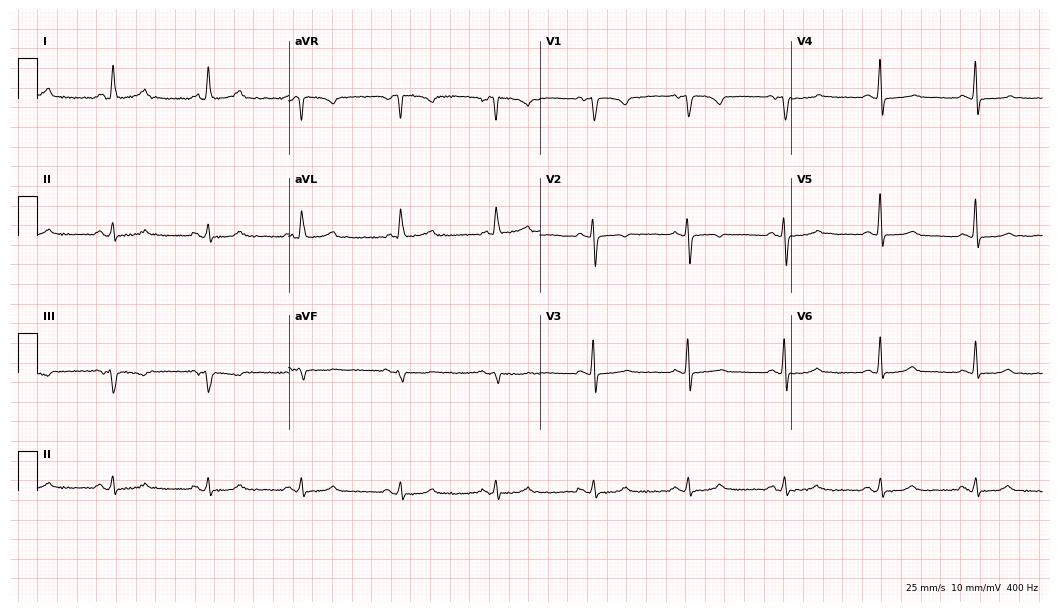
12-lead ECG from a female, 68 years old. Labelled as a normal ECG.